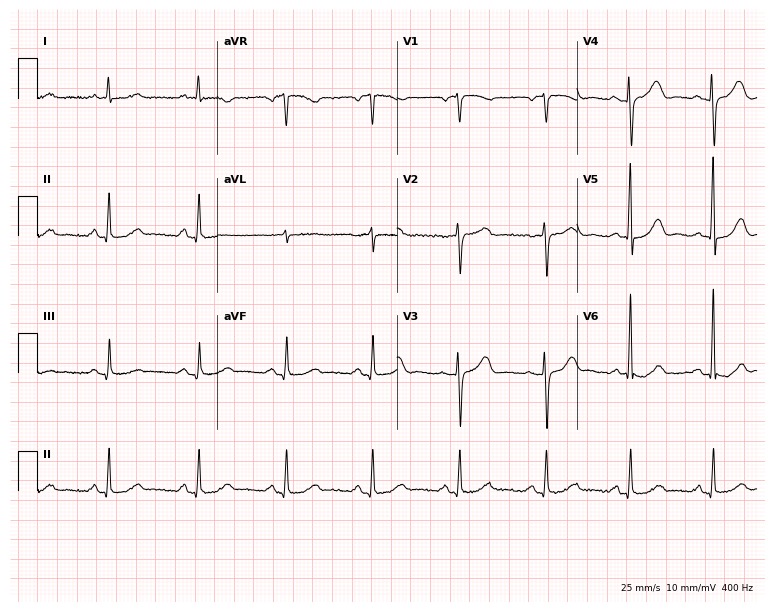
Resting 12-lead electrocardiogram. Patient: a 70-year-old female. None of these six findings is recorded: first-degree AV block, right bundle branch block, left bundle branch block, sinus bradycardia, atrial fibrillation, sinus tachycardia. Findings outside these six are not listed.